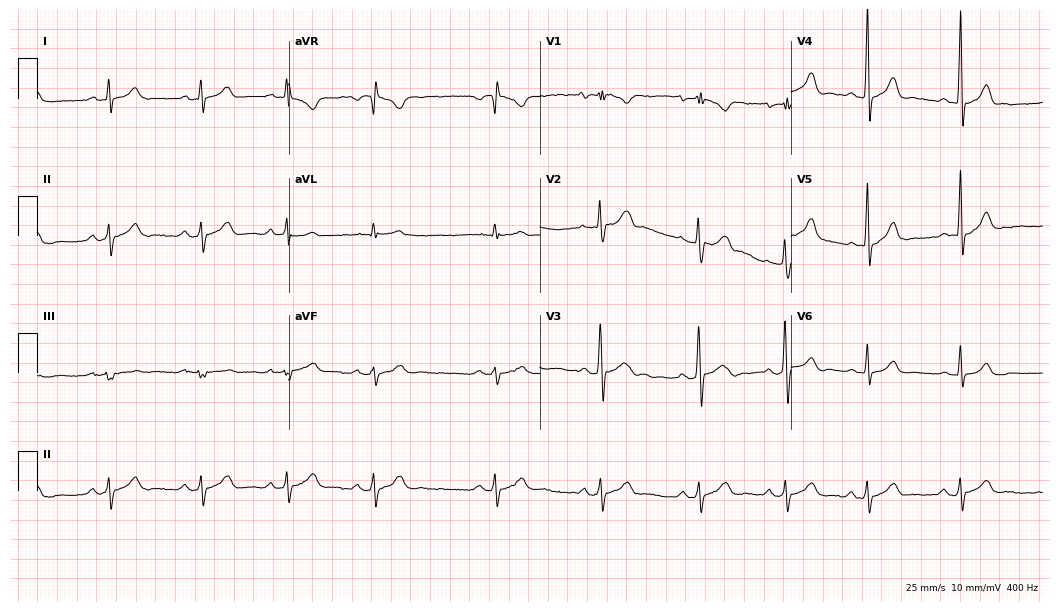
Resting 12-lead electrocardiogram (10.2-second recording at 400 Hz). Patient: an 18-year-old male. Read as a normal ECG.